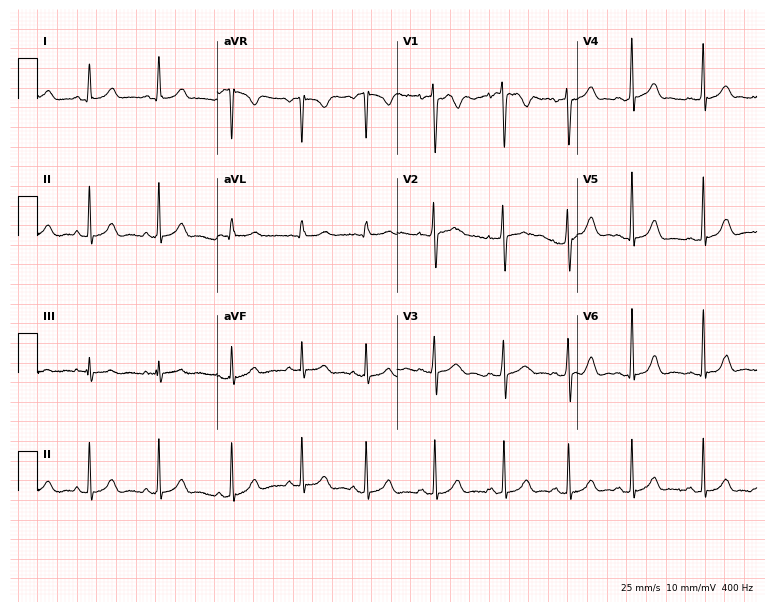
Standard 12-lead ECG recorded from a female, 17 years old. Read as a normal ECG.